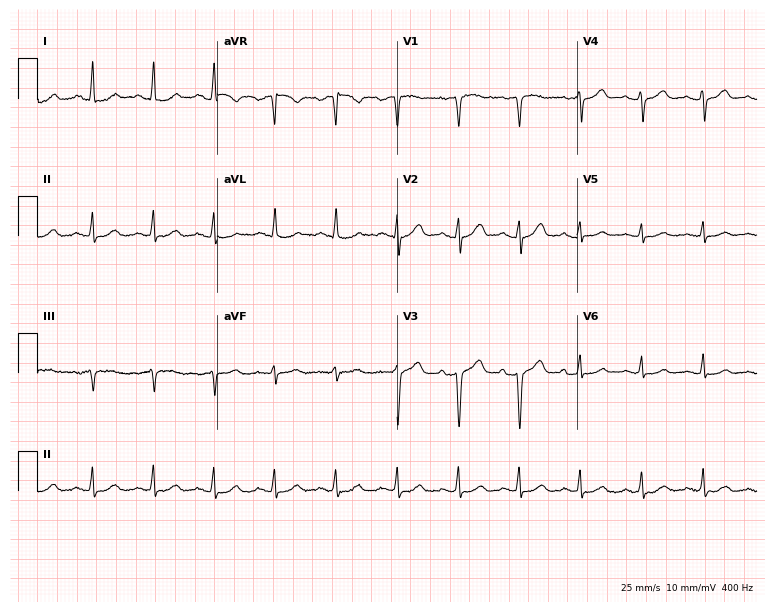
Electrocardiogram (7.3-second recording at 400 Hz), a female, 57 years old. Overall reading on record: normal ECG.